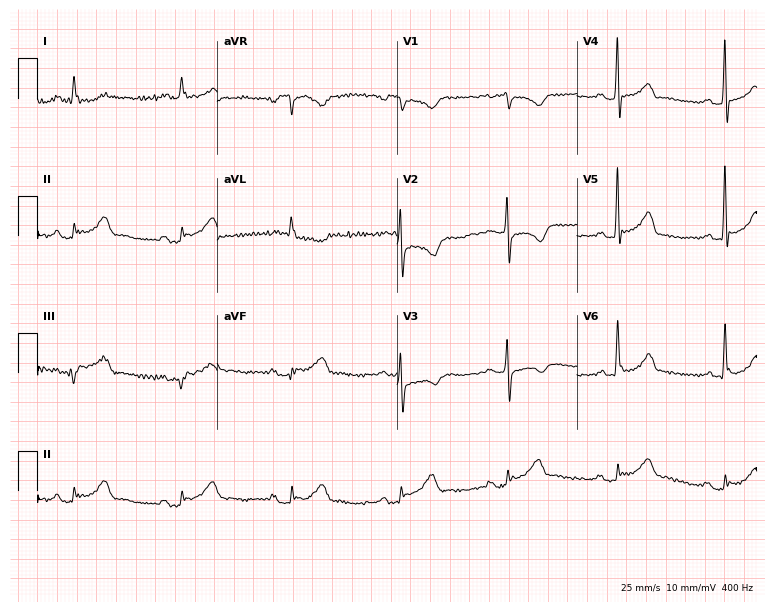
12-lead ECG from a female patient, 75 years old. No first-degree AV block, right bundle branch block, left bundle branch block, sinus bradycardia, atrial fibrillation or sinus tachycardia recorded for this tracing.